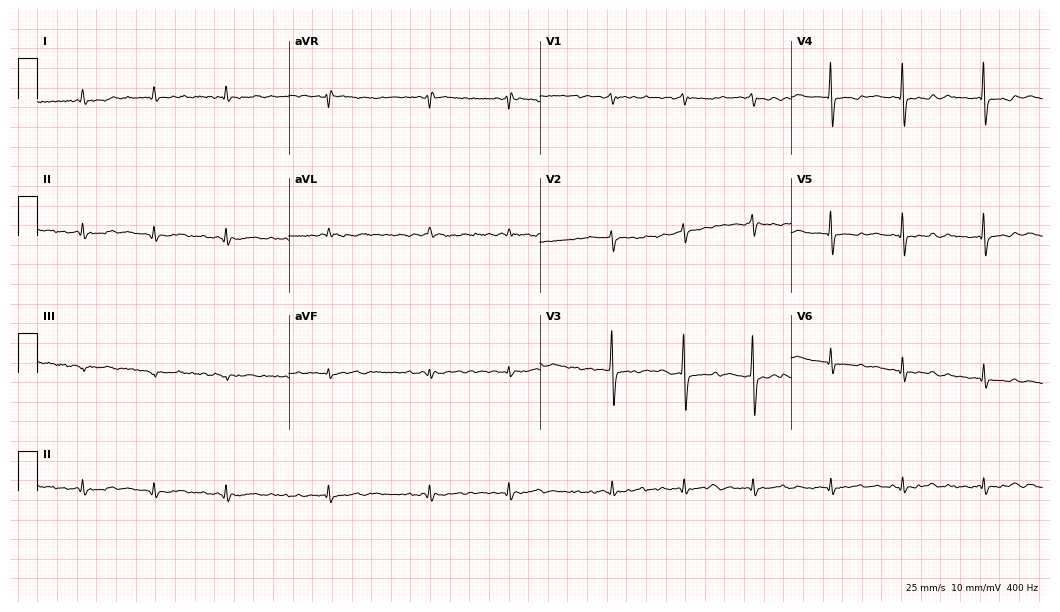
ECG — a woman, 82 years old. Findings include atrial fibrillation (AF).